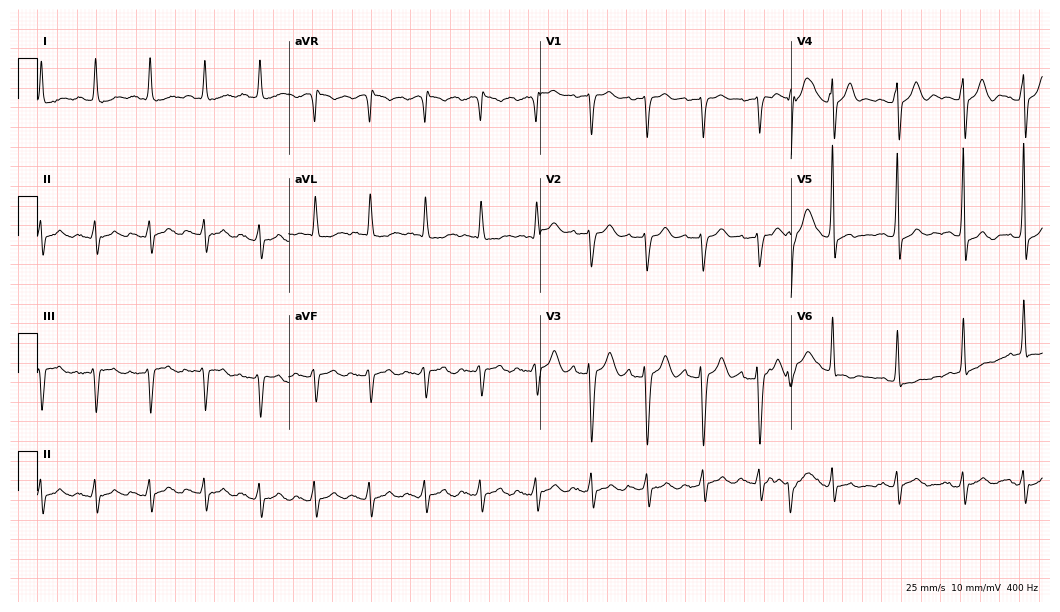
Electrocardiogram, a female patient, 81 years old. Of the six screened findings (first-degree AV block, right bundle branch block (RBBB), left bundle branch block (LBBB), sinus bradycardia, atrial fibrillation (AF), sinus tachycardia), none is recorded. Only these six findings were labelled.